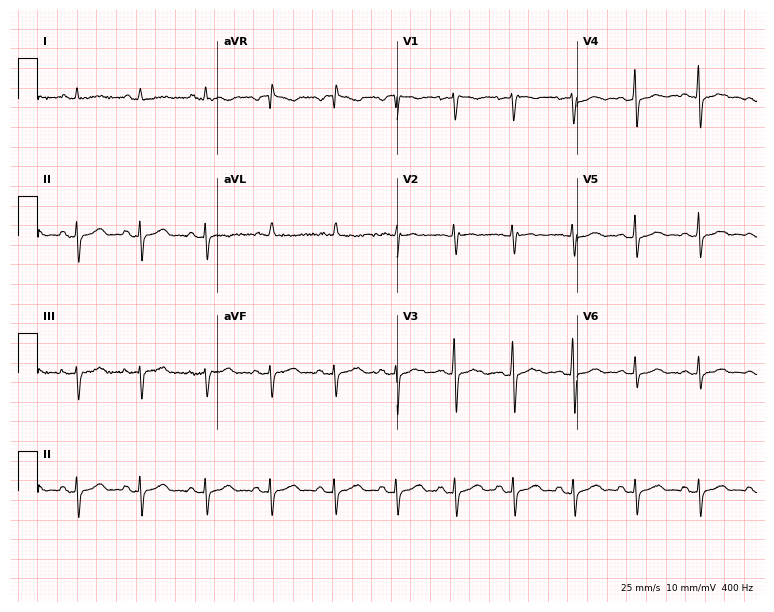
12-lead ECG (7.3-second recording at 400 Hz) from a female, 43 years old. Screened for six findings — first-degree AV block, right bundle branch block, left bundle branch block, sinus bradycardia, atrial fibrillation, sinus tachycardia — none is recorded.